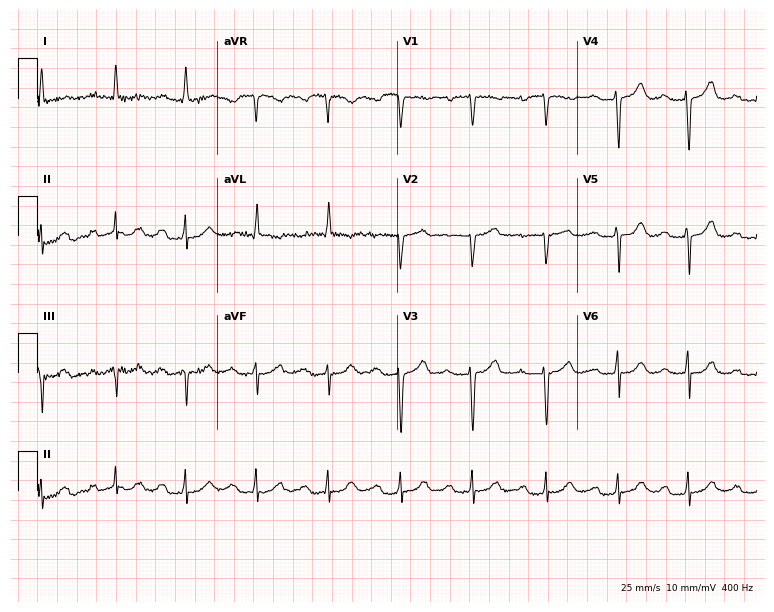
12-lead ECG from a 78-year-old female. Recorded interpretation: within normal limits.